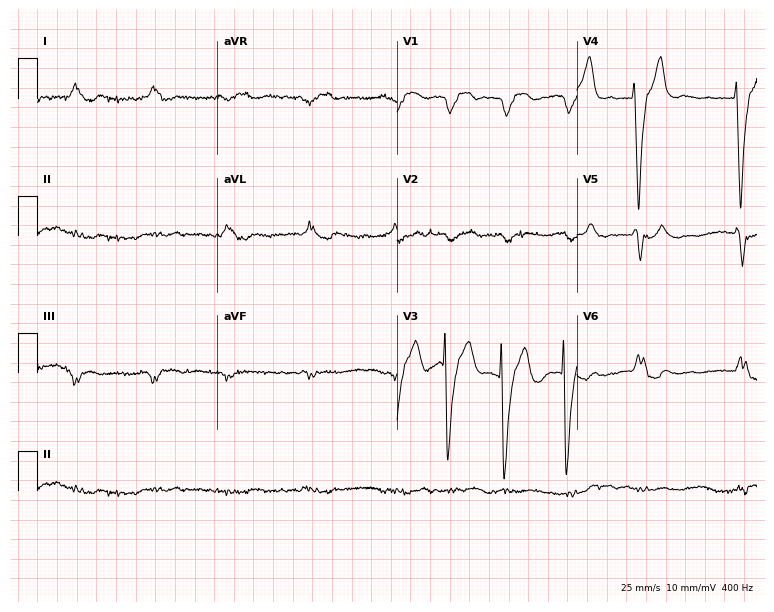
ECG — a male patient, 78 years old. Screened for six findings — first-degree AV block, right bundle branch block, left bundle branch block, sinus bradycardia, atrial fibrillation, sinus tachycardia — none is recorded.